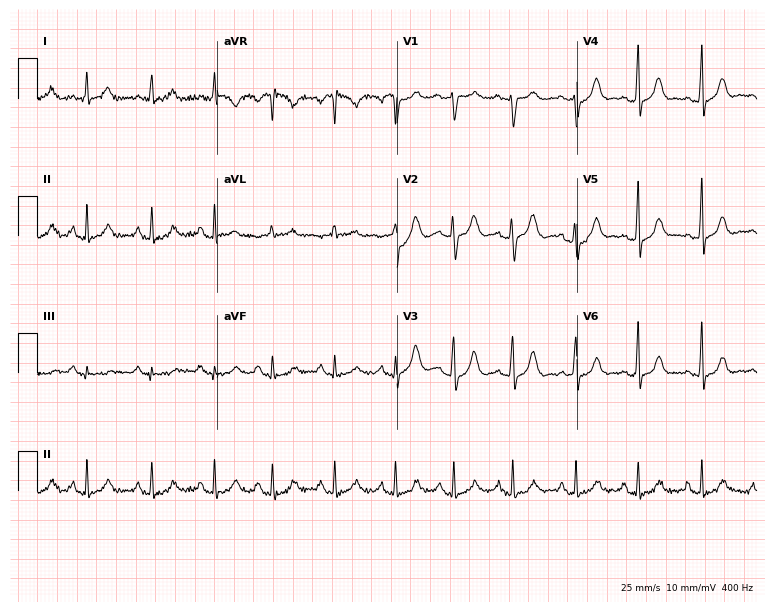
Resting 12-lead electrocardiogram (7.3-second recording at 400 Hz). Patient: a female, 26 years old. None of these six findings is recorded: first-degree AV block, right bundle branch block, left bundle branch block, sinus bradycardia, atrial fibrillation, sinus tachycardia.